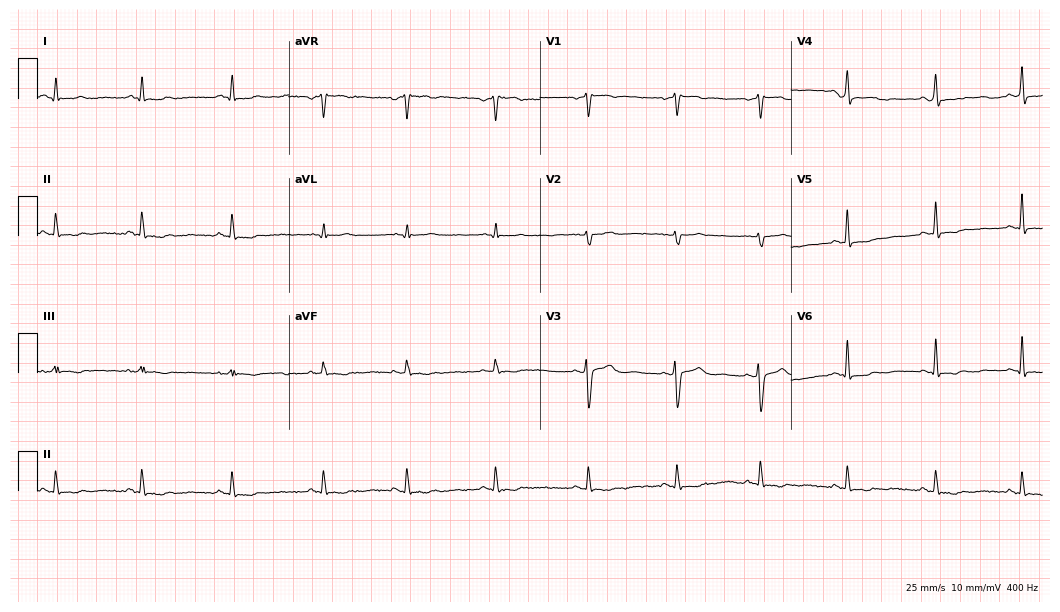
Standard 12-lead ECG recorded from a 46-year-old female (10.2-second recording at 400 Hz). None of these six findings is recorded: first-degree AV block, right bundle branch block, left bundle branch block, sinus bradycardia, atrial fibrillation, sinus tachycardia.